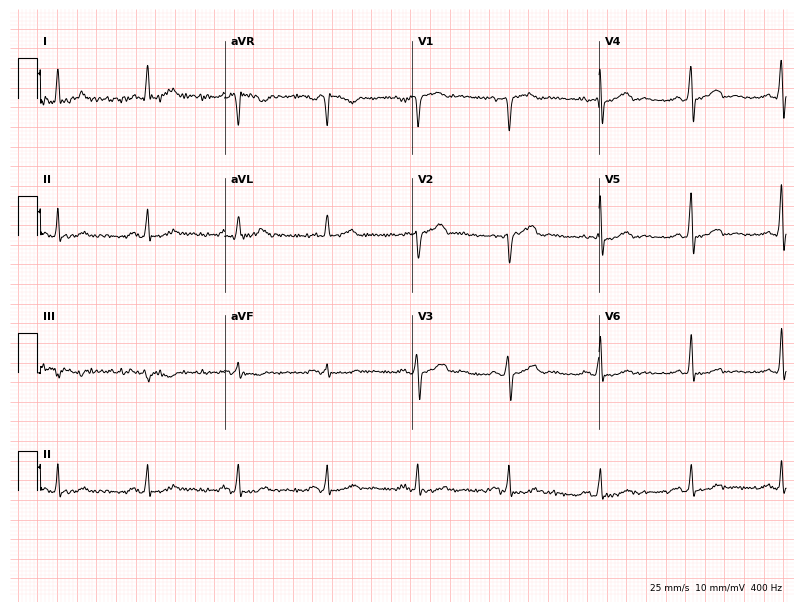
Standard 12-lead ECG recorded from a male, 56 years old. None of these six findings is recorded: first-degree AV block, right bundle branch block (RBBB), left bundle branch block (LBBB), sinus bradycardia, atrial fibrillation (AF), sinus tachycardia.